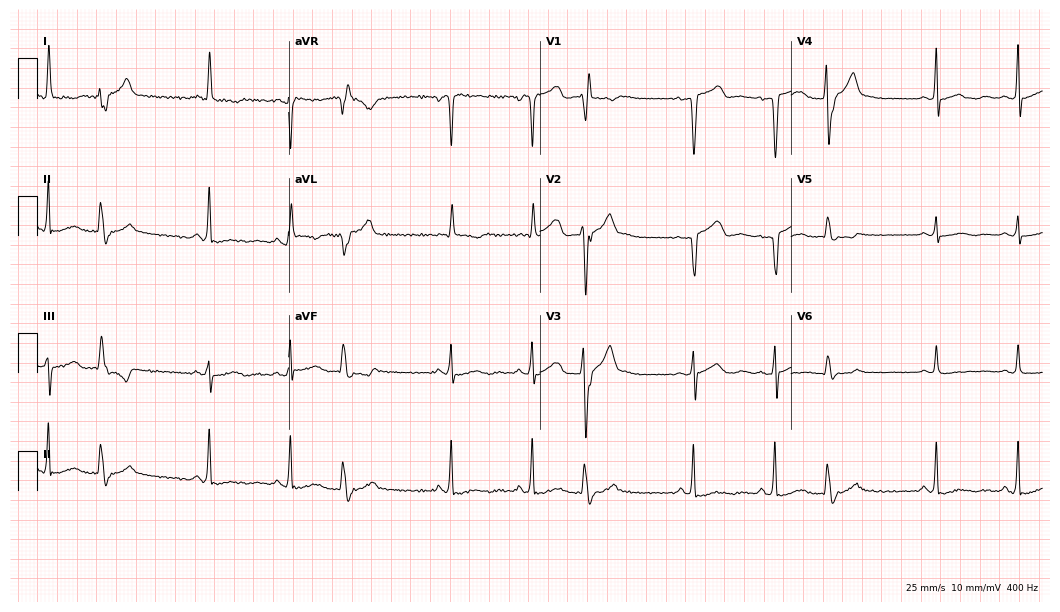
12-lead ECG (10.2-second recording at 400 Hz) from a male, 63 years old. Screened for six findings — first-degree AV block, right bundle branch block, left bundle branch block, sinus bradycardia, atrial fibrillation, sinus tachycardia — none is recorded.